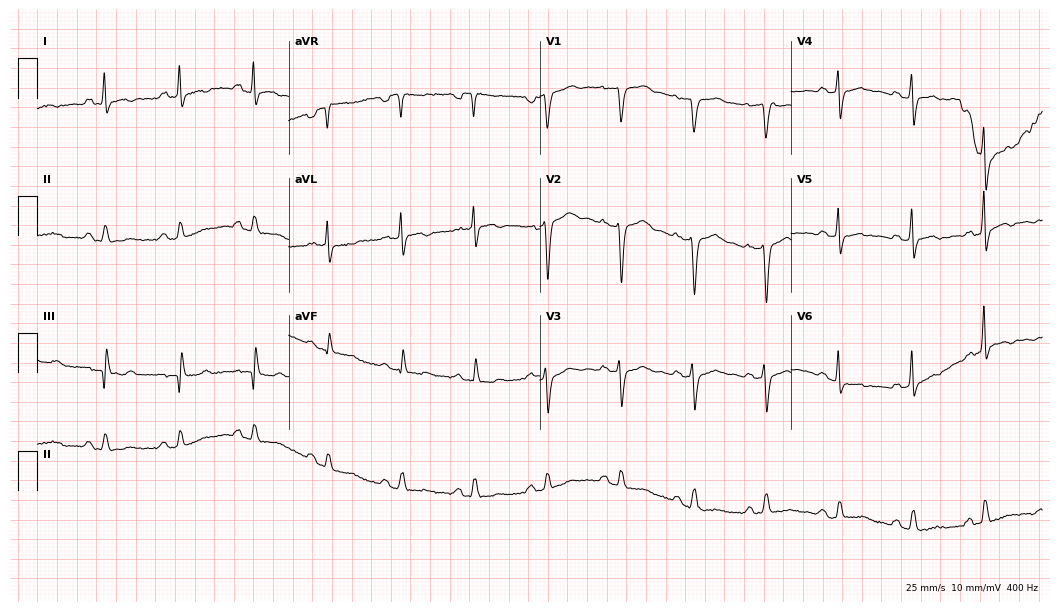
Resting 12-lead electrocardiogram (10.2-second recording at 400 Hz). Patient: a woman, 64 years old. None of these six findings is recorded: first-degree AV block, right bundle branch block (RBBB), left bundle branch block (LBBB), sinus bradycardia, atrial fibrillation (AF), sinus tachycardia.